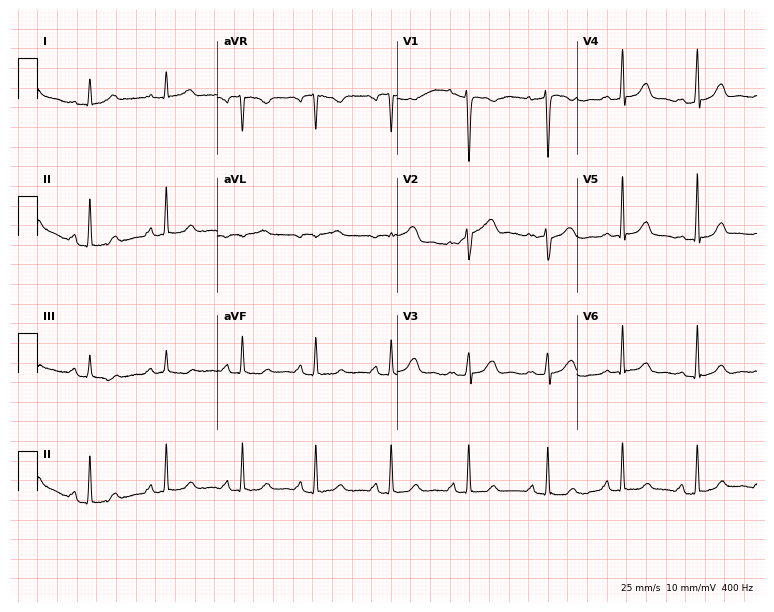
Electrocardiogram, a 44-year-old female patient. Of the six screened findings (first-degree AV block, right bundle branch block, left bundle branch block, sinus bradycardia, atrial fibrillation, sinus tachycardia), none is recorded.